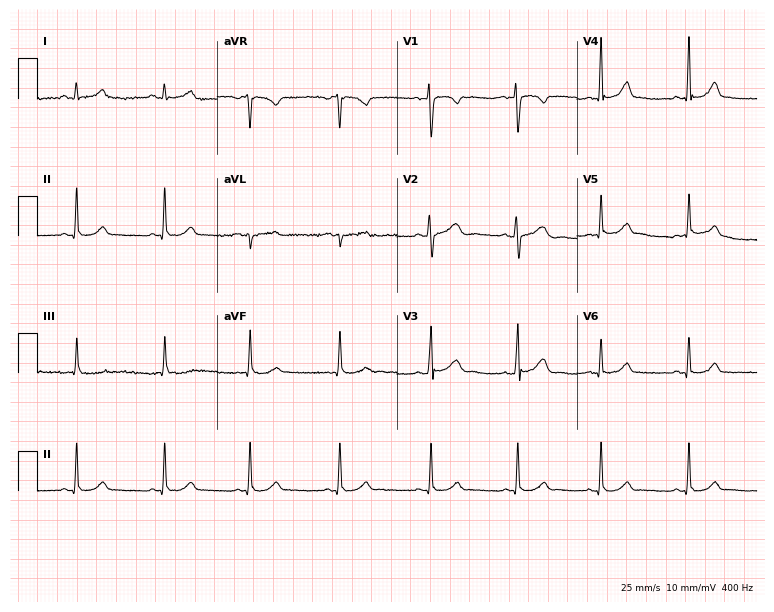
Resting 12-lead electrocardiogram (7.3-second recording at 400 Hz). Patient: a 20-year-old female. Read as a normal ECG.